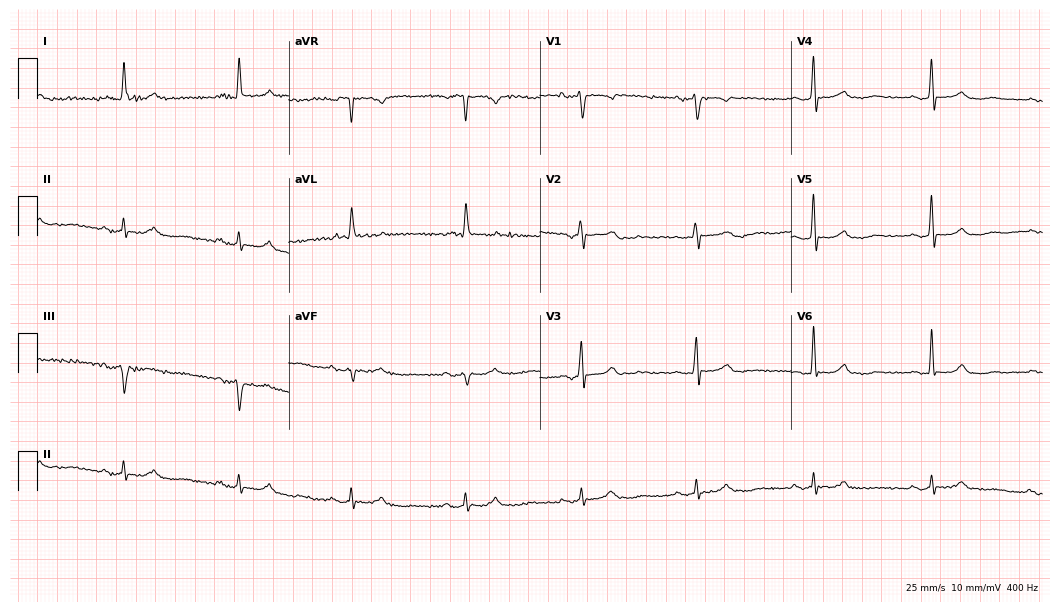
Resting 12-lead electrocardiogram (10.2-second recording at 400 Hz). Patient: an 82-year-old female. None of these six findings is recorded: first-degree AV block, right bundle branch block, left bundle branch block, sinus bradycardia, atrial fibrillation, sinus tachycardia. Only these six findings were labelled.